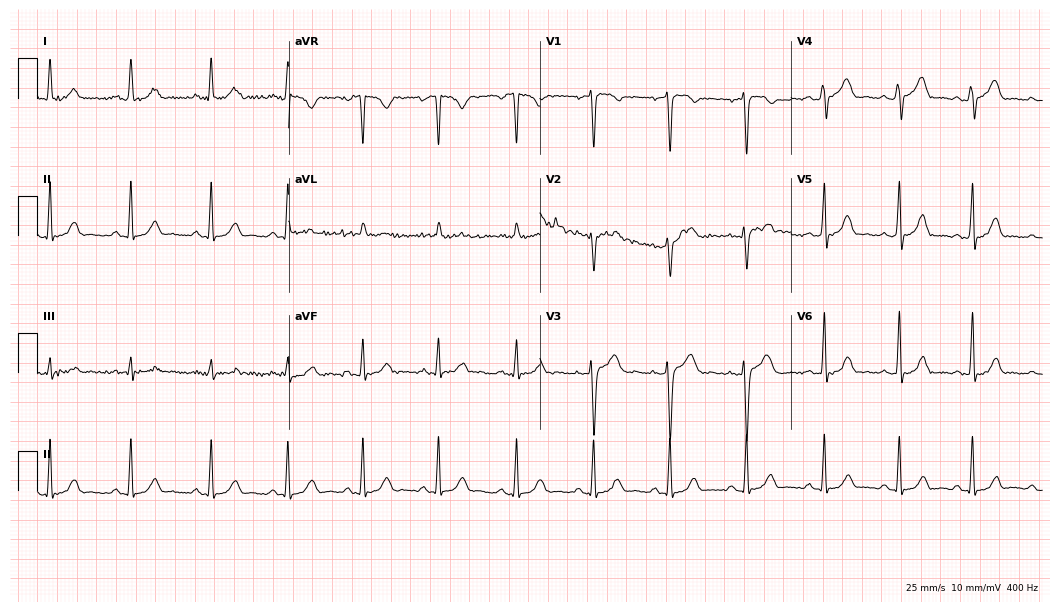
12-lead ECG from a 39-year-old woman. Labelled as a normal ECG.